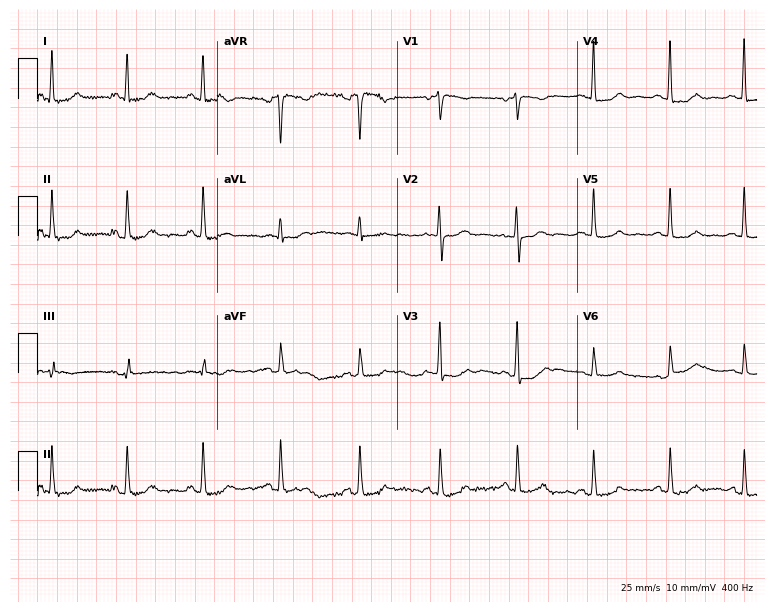
Resting 12-lead electrocardiogram. Patient: a 63-year-old woman. None of these six findings is recorded: first-degree AV block, right bundle branch block, left bundle branch block, sinus bradycardia, atrial fibrillation, sinus tachycardia.